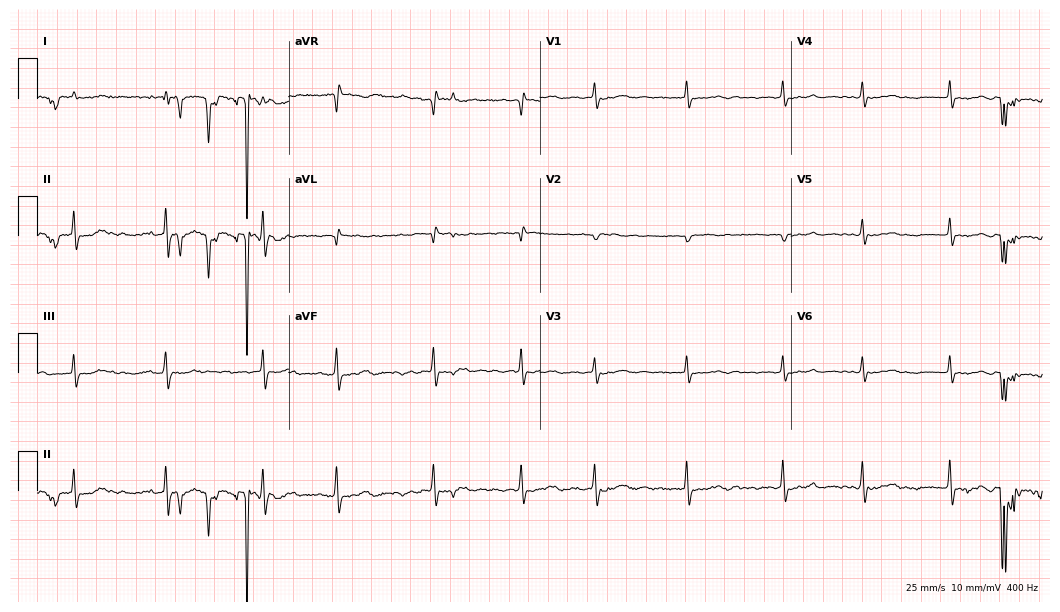
ECG (10.2-second recording at 400 Hz) — an 84-year-old male. Findings include atrial fibrillation (AF).